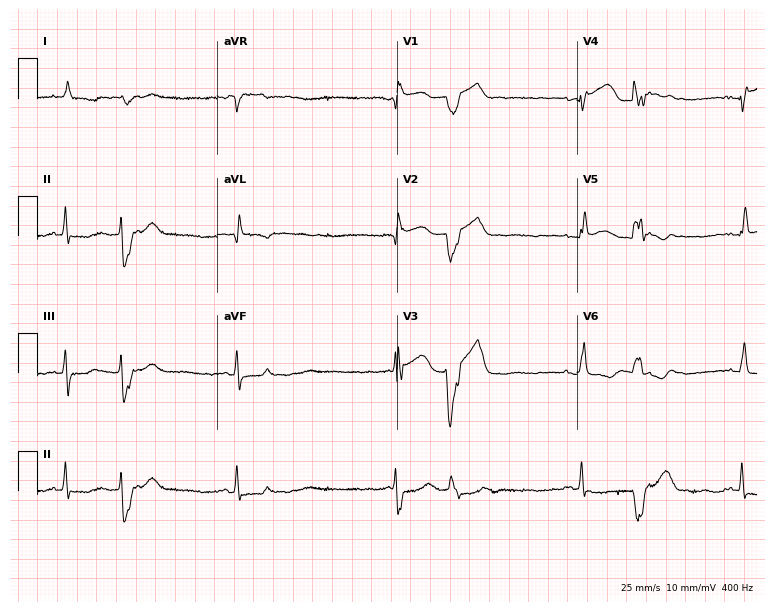
Resting 12-lead electrocardiogram. Patient: an 86-year-old male. None of these six findings is recorded: first-degree AV block, right bundle branch block, left bundle branch block, sinus bradycardia, atrial fibrillation, sinus tachycardia.